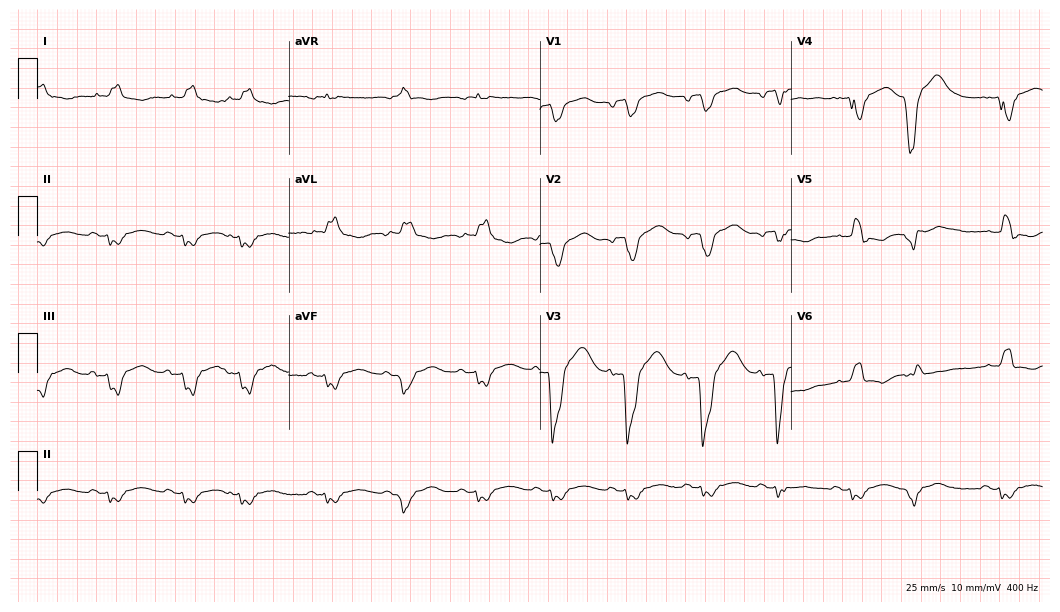
ECG (10.2-second recording at 400 Hz) — an 85-year-old male patient. Findings include left bundle branch block.